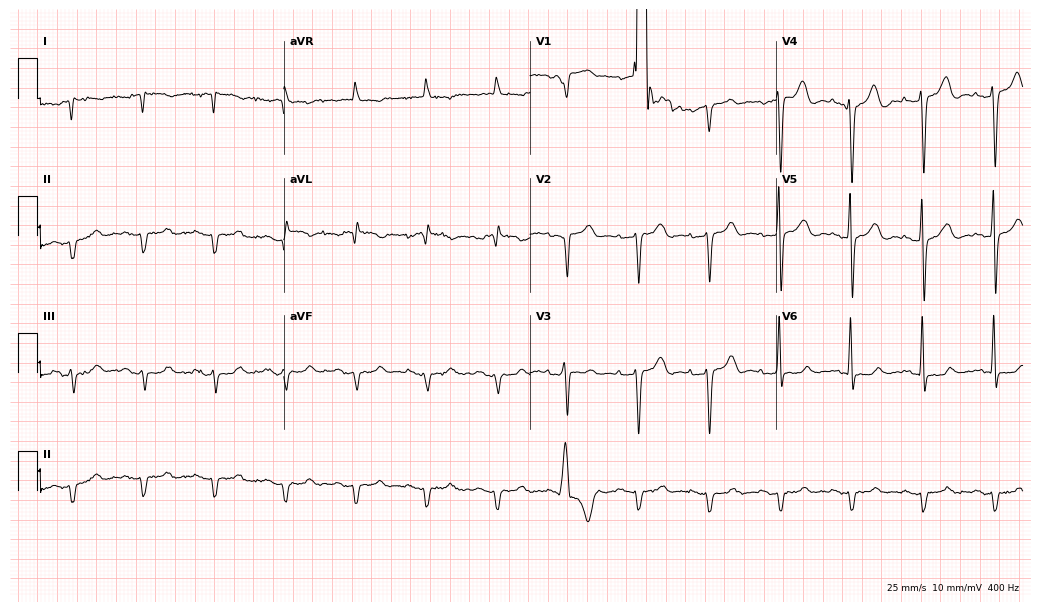
Electrocardiogram (10-second recording at 400 Hz), an 84-year-old male patient. Of the six screened findings (first-degree AV block, right bundle branch block (RBBB), left bundle branch block (LBBB), sinus bradycardia, atrial fibrillation (AF), sinus tachycardia), none is recorded.